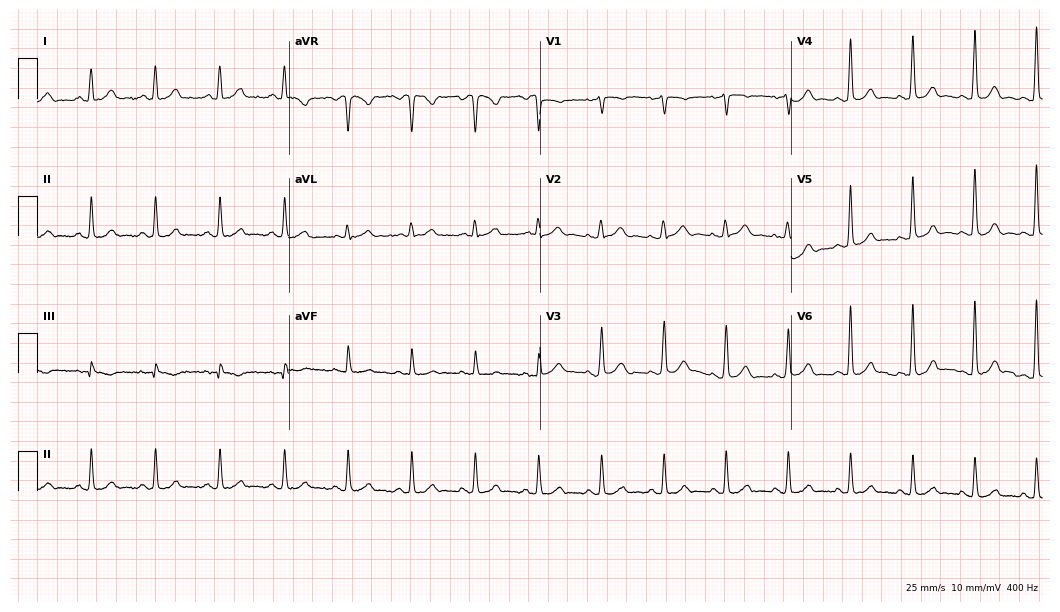
Electrocardiogram, a 45-year-old female. Overall reading on record: normal ECG.